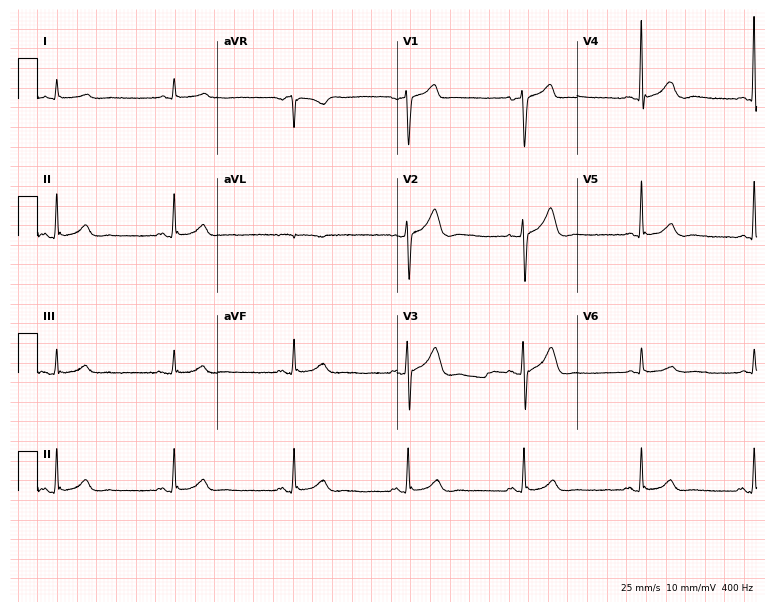
Electrocardiogram (7.3-second recording at 400 Hz), a female, 66 years old. Overall reading on record: normal ECG.